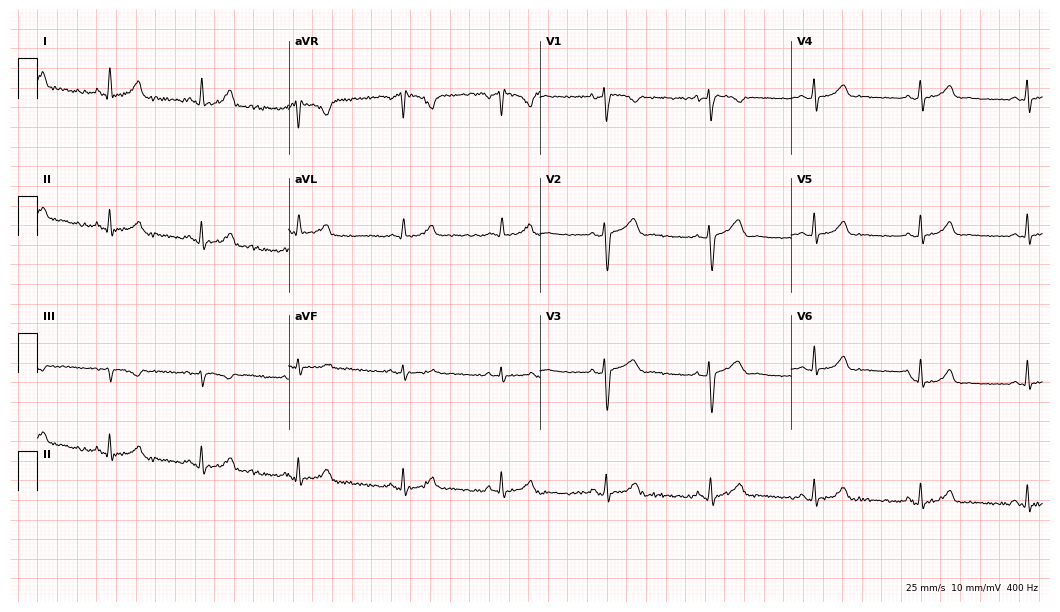
12-lead ECG from a female, 22 years old (10.2-second recording at 400 Hz). No first-degree AV block, right bundle branch block (RBBB), left bundle branch block (LBBB), sinus bradycardia, atrial fibrillation (AF) or sinus tachycardia recorded for this tracing.